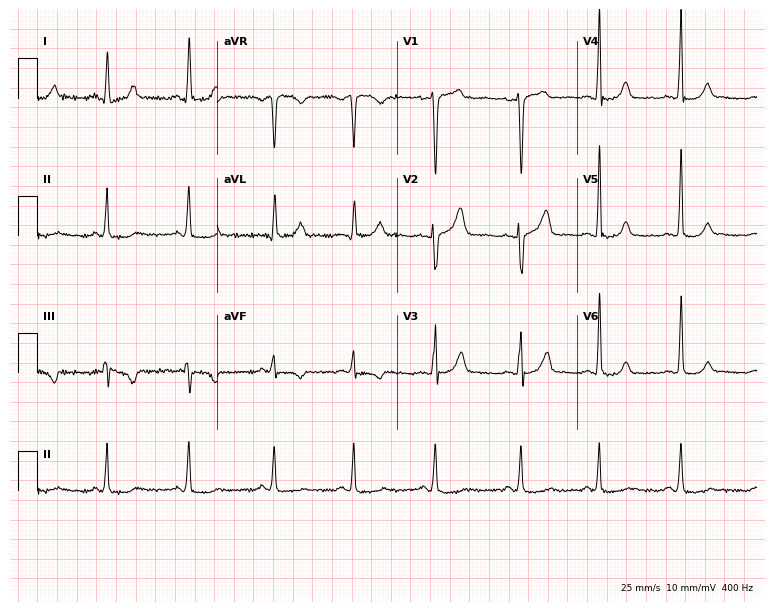
12-lead ECG from a 34-year-old female. Screened for six findings — first-degree AV block, right bundle branch block, left bundle branch block, sinus bradycardia, atrial fibrillation, sinus tachycardia — none is recorded.